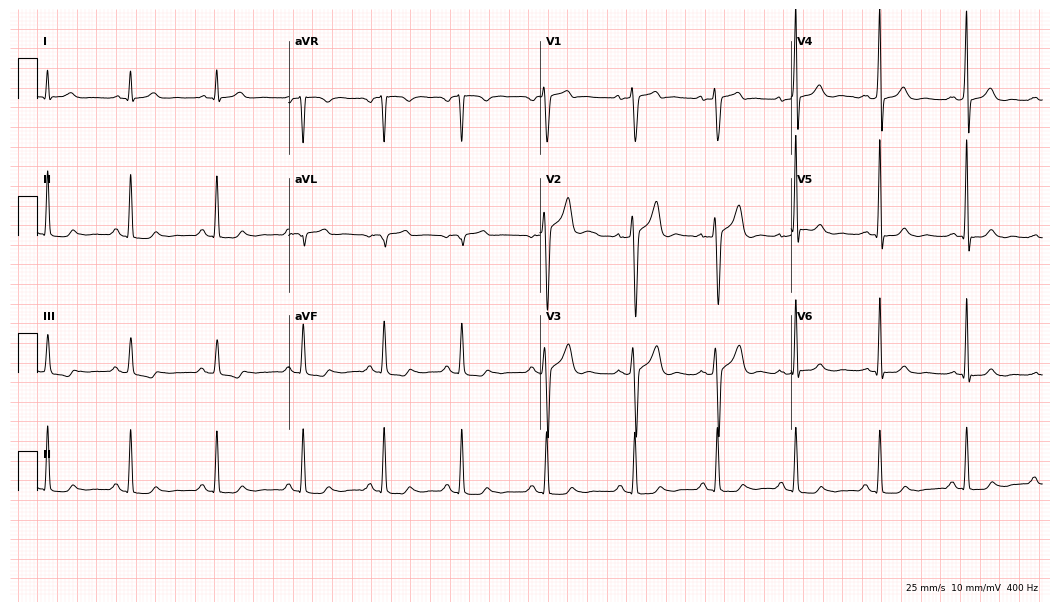
Resting 12-lead electrocardiogram (10.2-second recording at 400 Hz). Patient: a 48-year-old male. None of these six findings is recorded: first-degree AV block, right bundle branch block, left bundle branch block, sinus bradycardia, atrial fibrillation, sinus tachycardia.